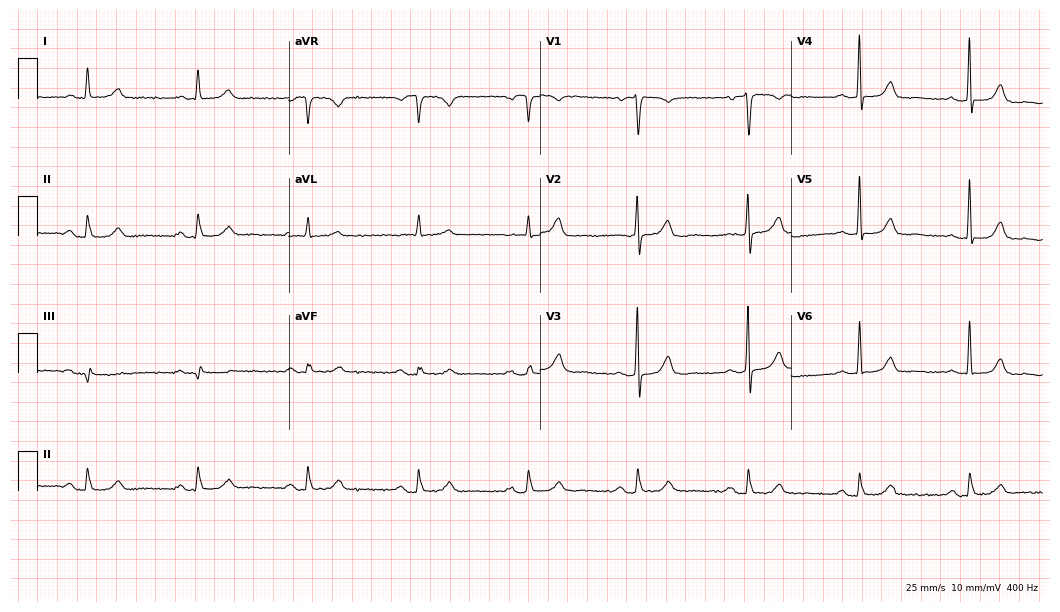
12-lead ECG from a female patient, 71 years old (10.2-second recording at 400 Hz). Recorded interpretation: within normal limits.